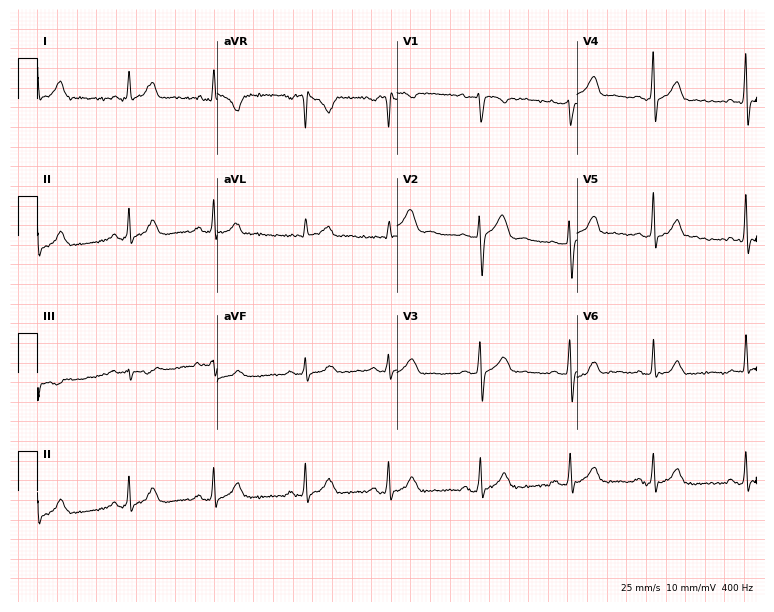
12-lead ECG (7.3-second recording at 400 Hz) from a 20-year-old female. Screened for six findings — first-degree AV block, right bundle branch block, left bundle branch block, sinus bradycardia, atrial fibrillation, sinus tachycardia — none is recorded.